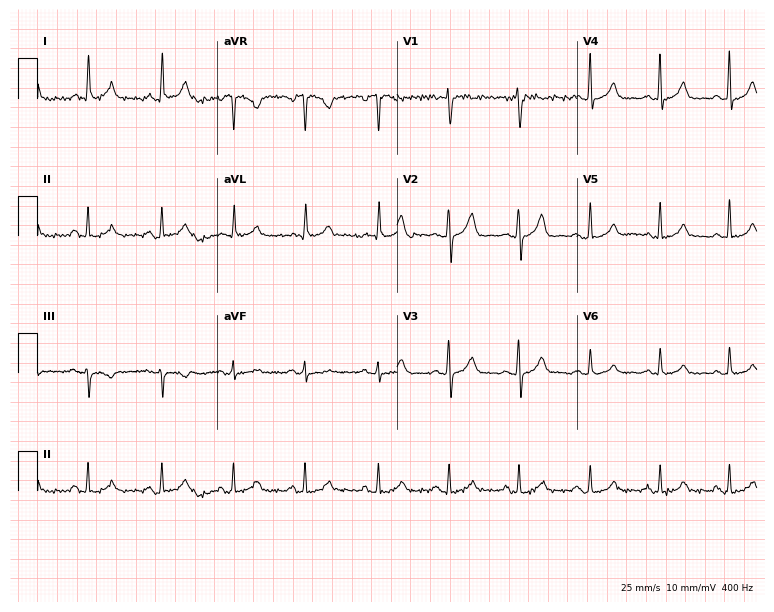
Standard 12-lead ECG recorded from a woman, 60 years old. Read as a normal ECG.